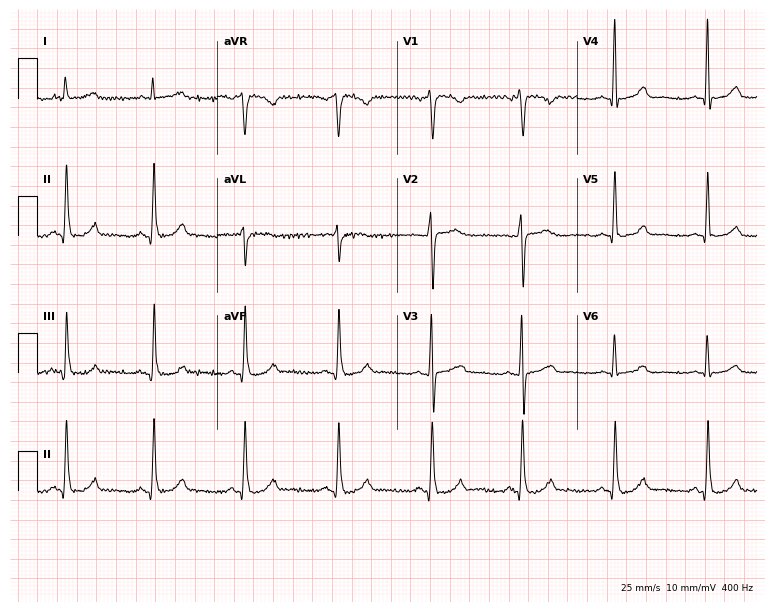
12-lead ECG (7.3-second recording at 400 Hz) from a 55-year-old woman. Screened for six findings — first-degree AV block, right bundle branch block, left bundle branch block, sinus bradycardia, atrial fibrillation, sinus tachycardia — none is recorded. Other findings, if any, are not listed.